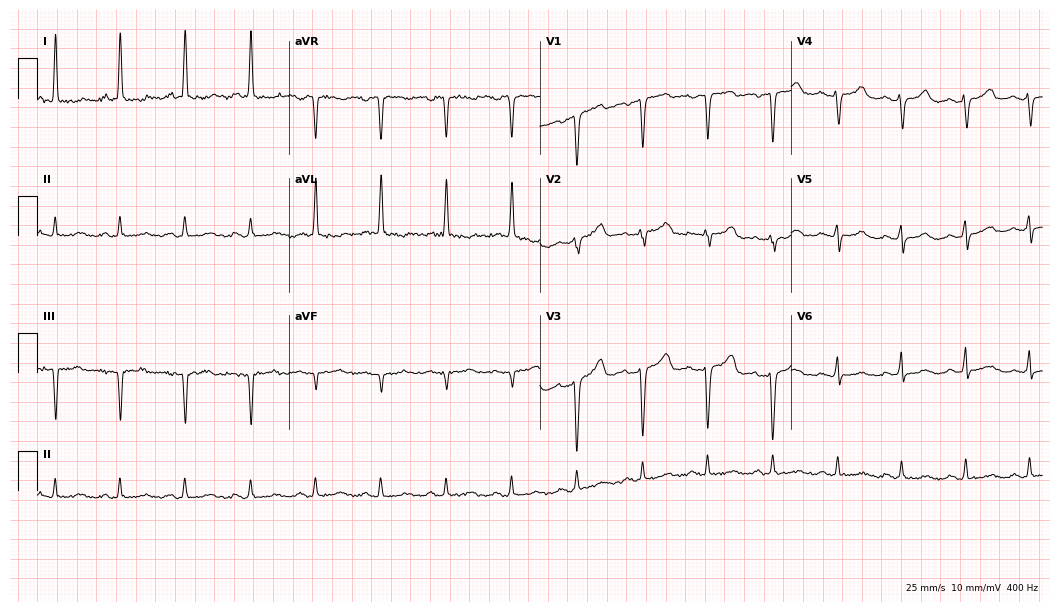
Resting 12-lead electrocardiogram (10.2-second recording at 400 Hz). Patient: a 59-year-old female. None of these six findings is recorded: first-degree AV block, right bundle branch block (RBBB), left bundle branch block (LBBB), sinus bradycardia, atrial fibrillation (AF), sinus tachycardia.